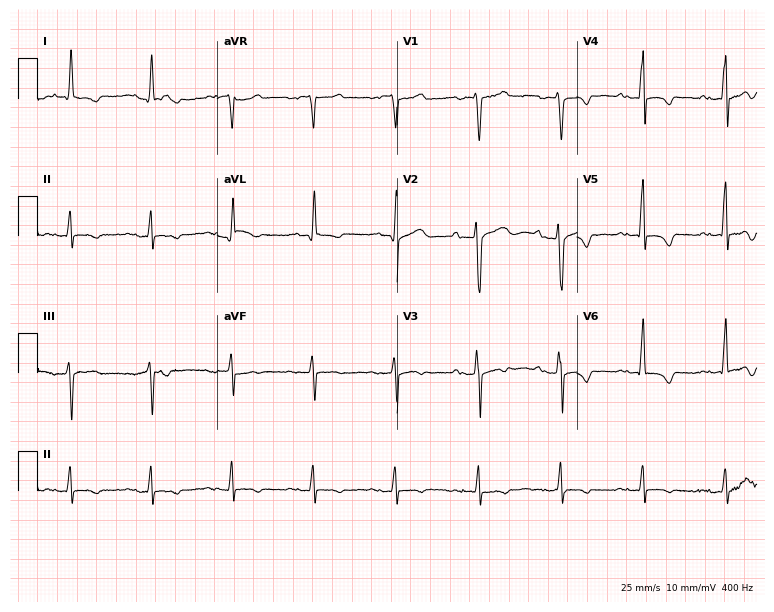
12-lead ECG from a 57-year-old male. Findings include first-degree AV block.